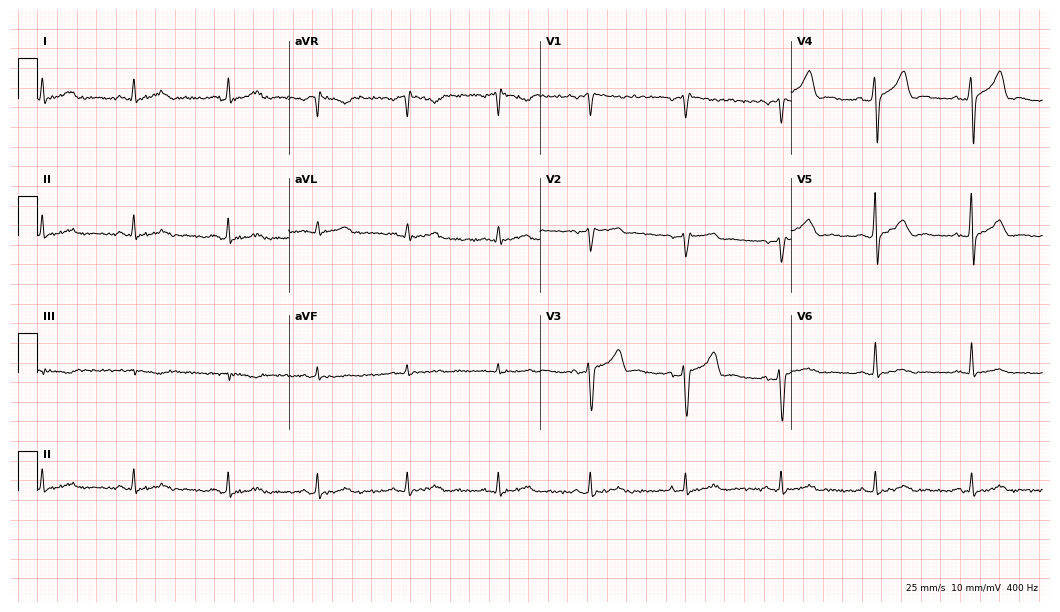
Standard 12-lead ECG recorded from a male, 52 years old (10.2-second recording at 400 Hz). None of these six findings is recorded: first-degree AV block, right bundle branch block, left bundle branch block, sinus bradycardia, atrial fibrillation, sinus tachycardia.